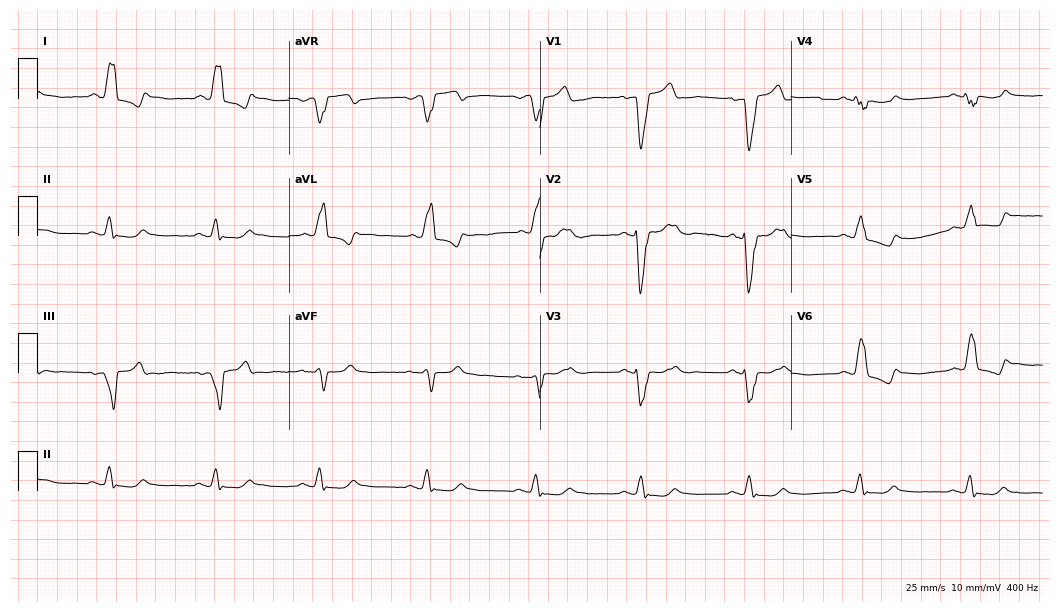
12-lead ECG from a 63-year-old male patient (10.2-second recording at 400 Hz). Shows left bundle branch block (LBBB).